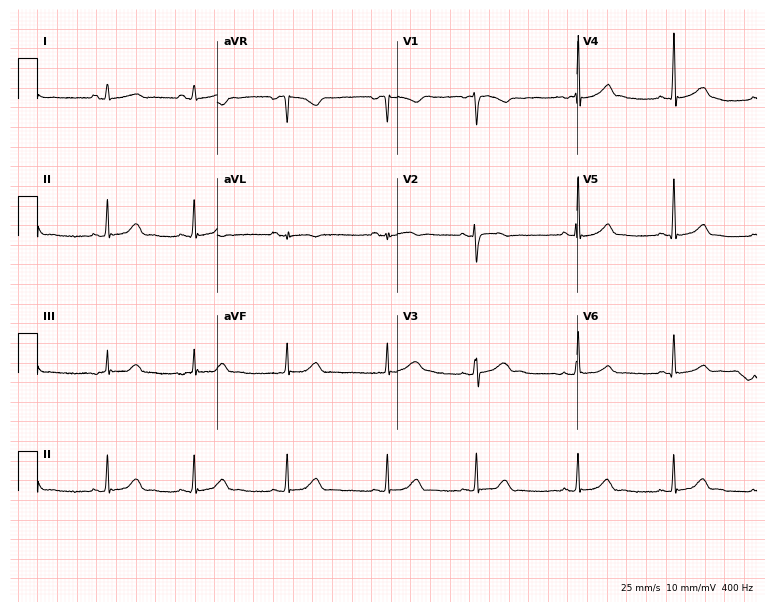
12-lead ECG from a 21-year-old woman (7.3-second recording at 400 Hz). Recorded interpretation: within normal limits.